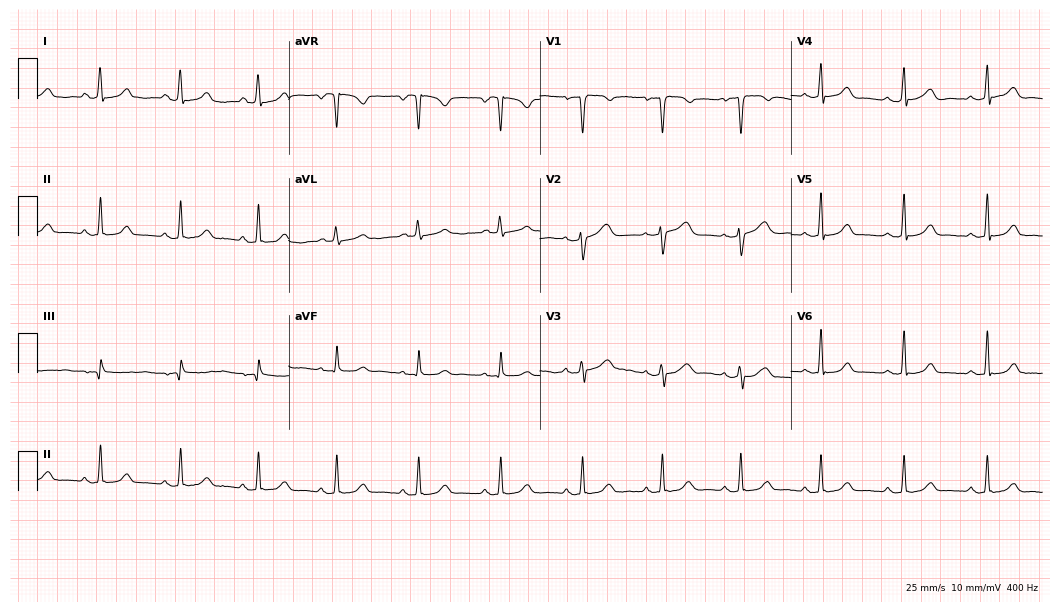
Electrocardiogram (10.2-second recording at 400 Hz), a female, 40 years old. Overall reading on record: normal ECG.